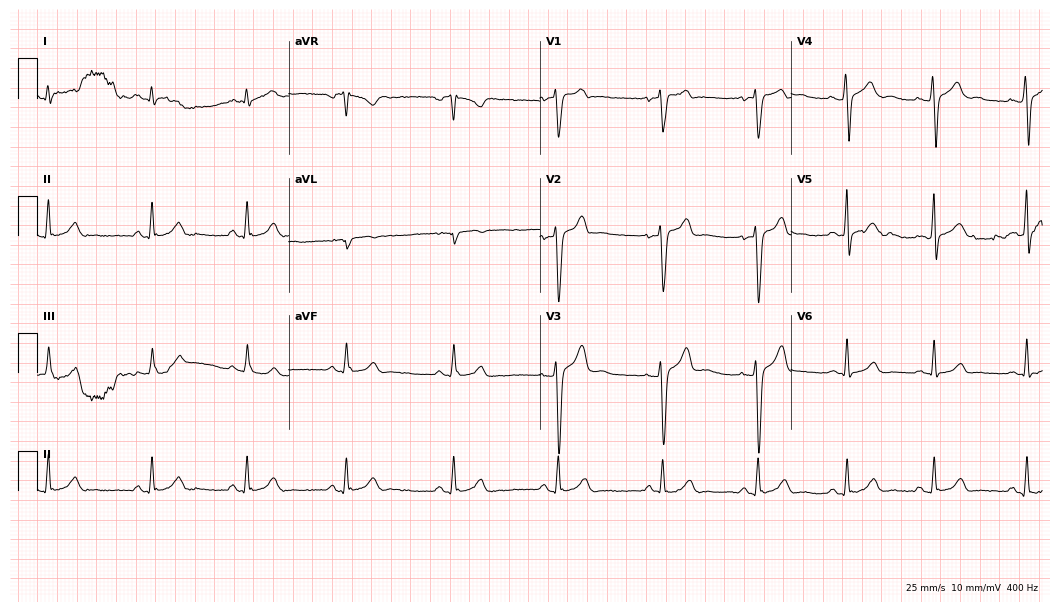
12-lead ECG from an 18-year-old man (10.2-second recording at 400 Hz). Recorded interpretation: within normal limits.